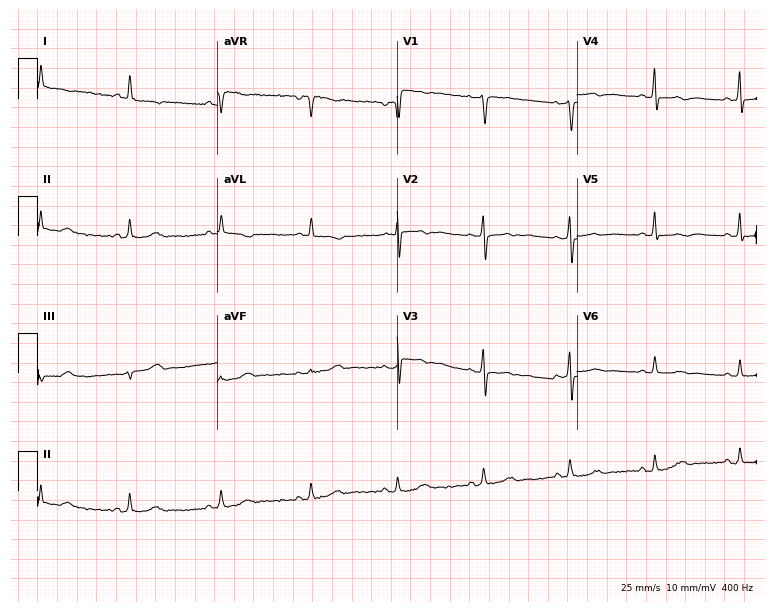
Electrocardiogram, a 50-year-old female. Of the six screened findings (first-degree AV block, right bundle branch block, left bundle branch block, sinus bradycardia, atrial fibrillation, sinus tachycardia), none is recorded. Findings outside these six are not listed.